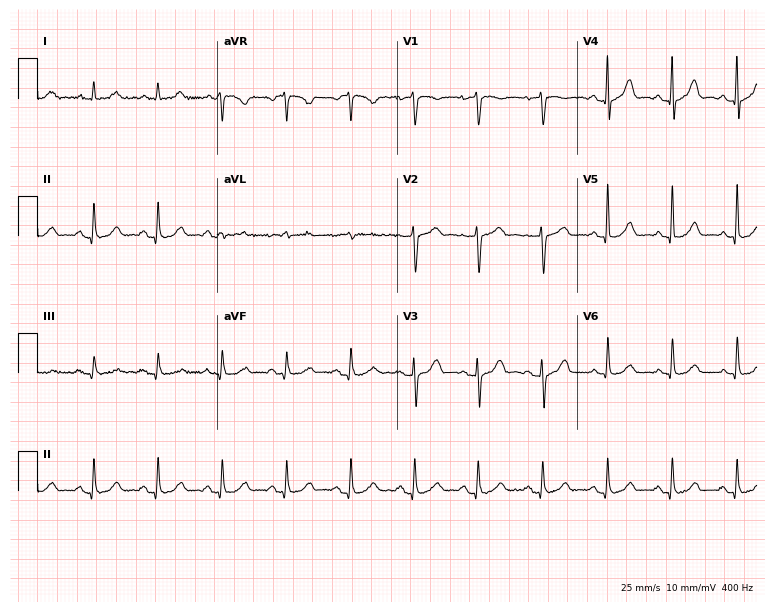
Standard 12-lead ECG recorded from a 75-year-old female. Read as a normal ECG.